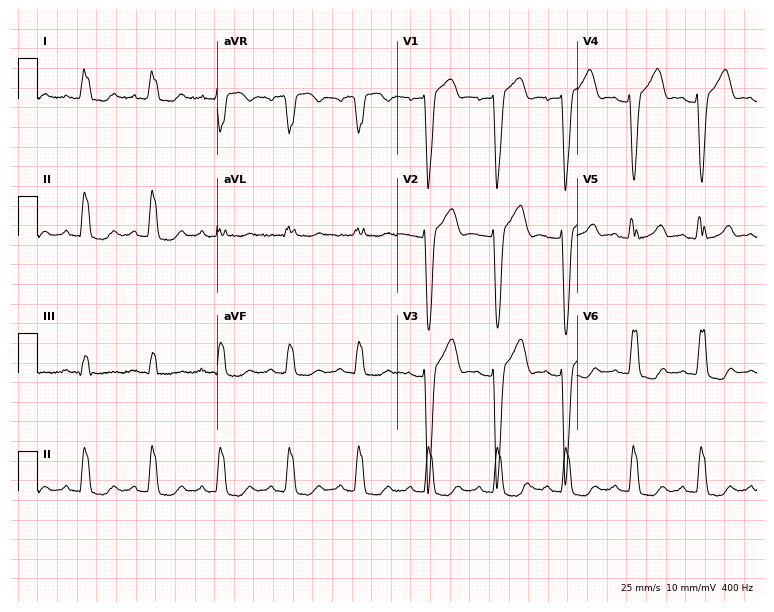
Resting 12-lead electrocardiogram (7.3-second recording at 400 Hz). Patient: a 62-year-old female. The tracing shows left bundle branch block.